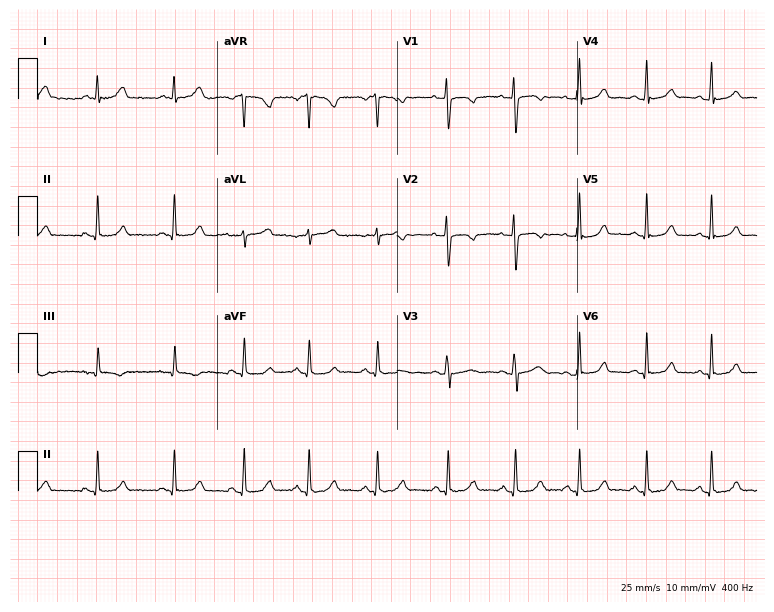
Standard 12-lead ECG recorded from a 30-year-old woman (7.3-second recording at 400 Hz). None of these six findings is recorded: first-degree AV block, right bundle branch block, left bundle branch block, sinus bradycardia, atrial fibrillation, sinus tachycardia. Findings outside these six are not listed.